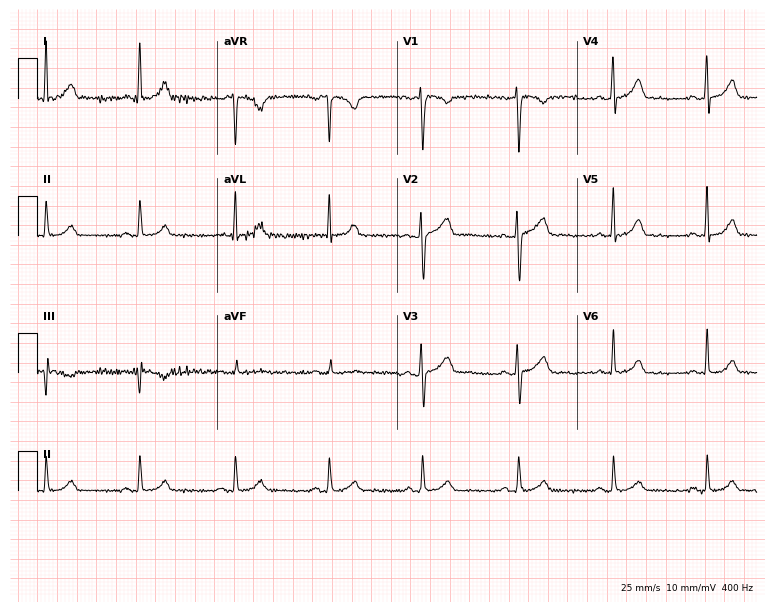
Resting 12-lead electrocardiogram (7.3-second recording at 400 Hz). Patient: a 39-year-old female. Read as a normal ECG.